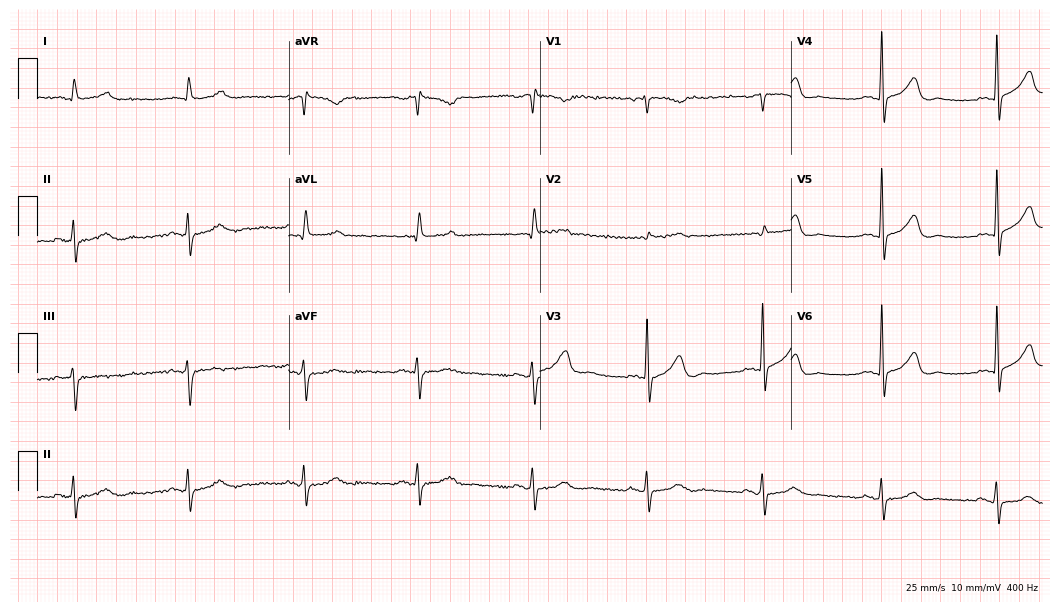
12-lead ECG from a male patient, 77 years old (10.2-second recording at 400 Hz). No first-degree AV block, right bundle branch block (RBBB), left bundle branch block (LBBB), sinus bradycardia, atrial fibrillation (AF) or sinus tachycardia recorded for this tracing. Findings outside these six are not listed.